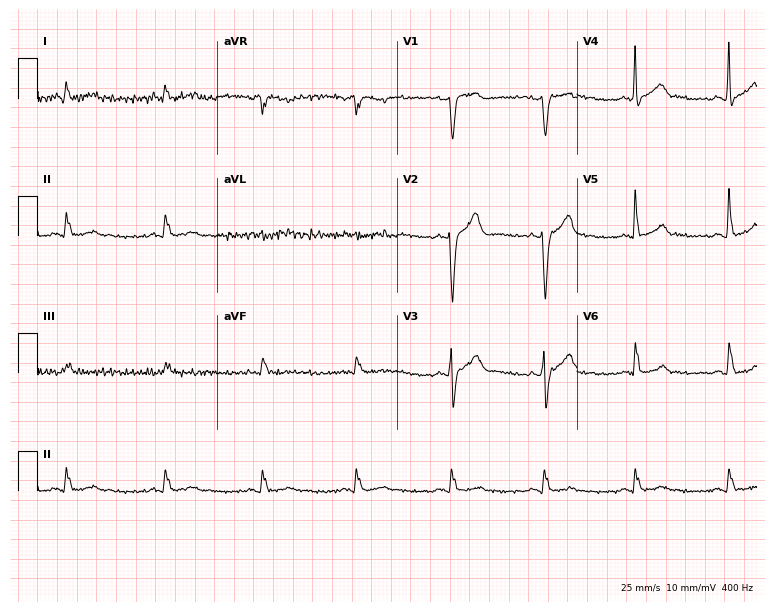
12-lead ECG from a male, 43 years old. Screened for six findings — first-degree AV block, right bundle branch block (RBBB), left bundle branch block (LBBB), sinus bradycardia, atrial fibrillation (AF), sinus tachycardia — none is recorded. Findings outside these six are not listed.